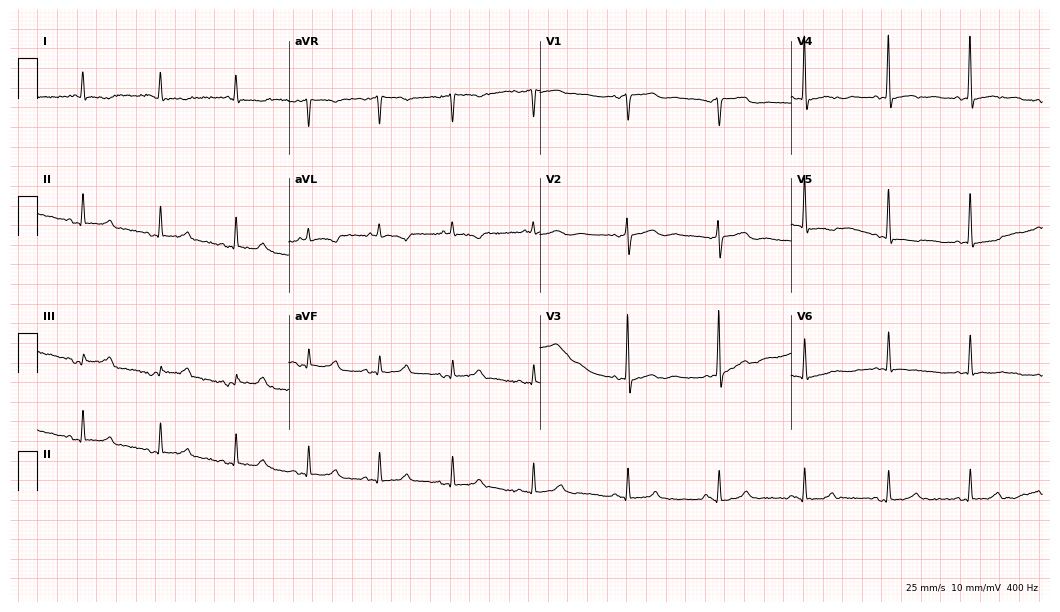
12-lead ECG from an 81-year-old woman. No first-degree AV block, right bundle branch block, left bundle branch block, sinus bradycardia, atrial fibrillation or sinus tachycardia recorded for this tracing.